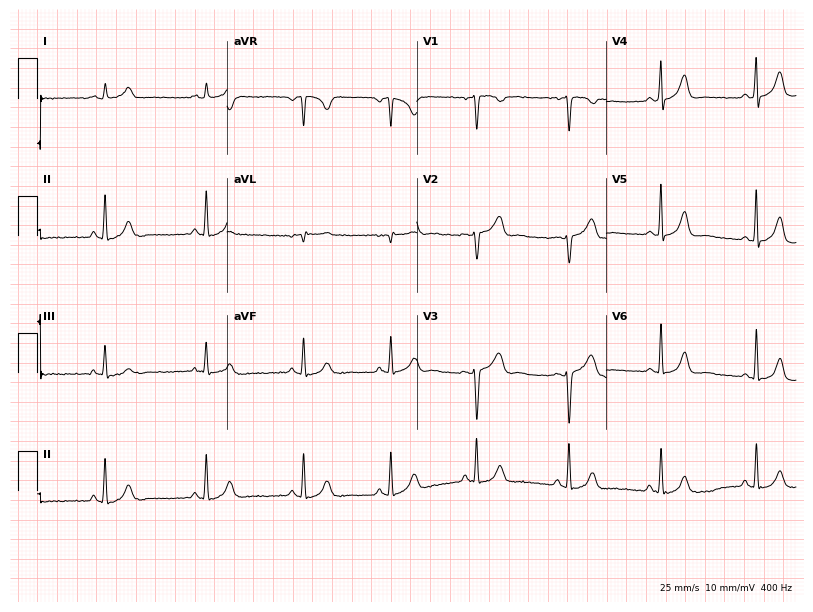
12-lead ECG from a 20-year-old female (7.7-second recording at 400 Hz). Recorded interpretation: within normal limits.